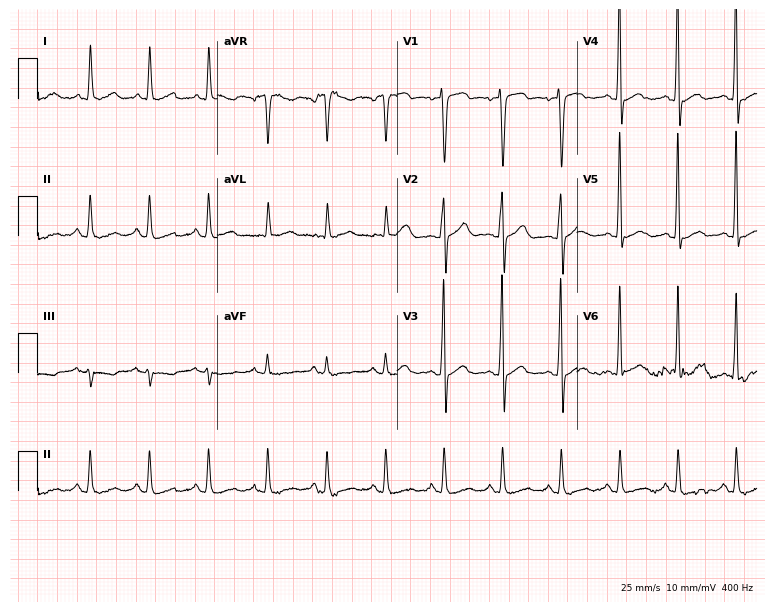
Electrocardiogram (7.3-second recording at 400 Hz), a male patient, 71 years old. Interpretation includes sinus tachycardia (a sinus rate of 100 beats per minute or more).